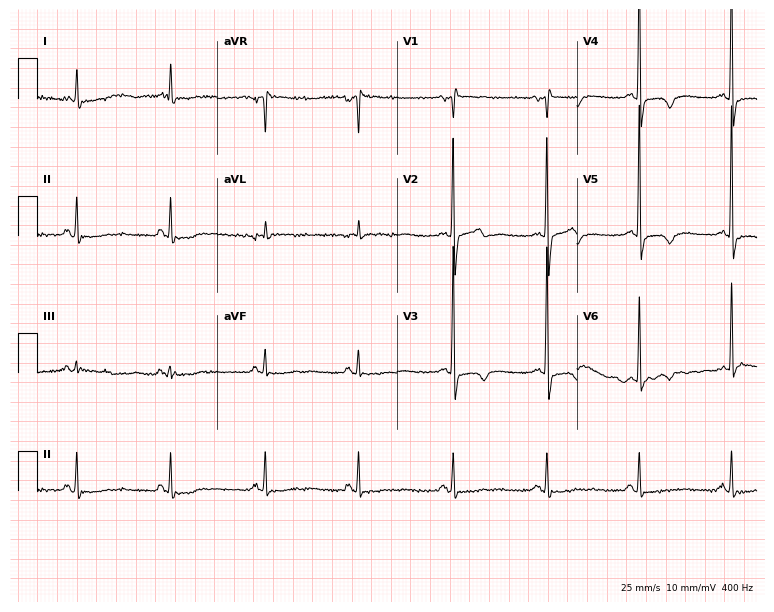
ECG (7.3-second recording at 400 Hz) — a female, 71 years old. Screened for six findings — first-degree AV block, right bundle branch block, left bundle branch block, sinus bradycardia, atrial fibrillation, sinus tachycardia — none is recorded.